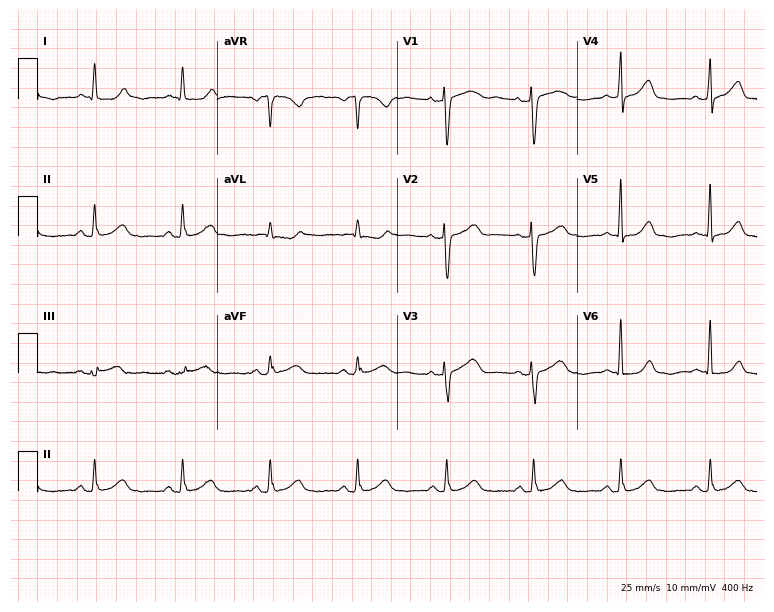
ECG (7.3-second recording at 400 Hz) — a 55-year-old woman. Labelled as a normal ECG.